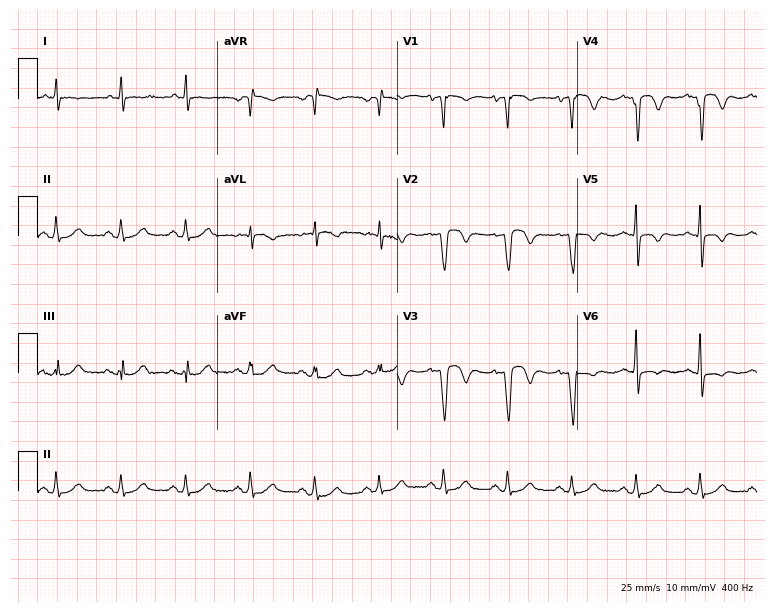
Resting 12-lead electrocardiogram (7.3-second recording at 400 Hz). Patient: a male, 68 years old. None of these six findings is recorded: first-degree AV block, right bundle branch block (RBBB), left bundle branch block (LBBB), sinus bradycardia, atrial fibrillation (AF), sinus tachycardia.